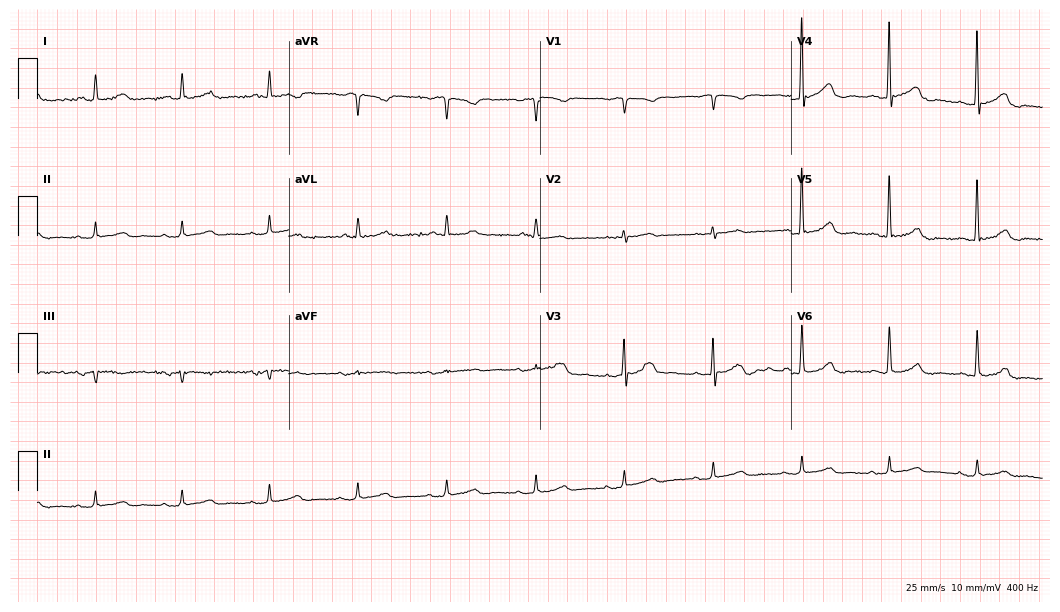
Standard 12-lead ECG recorded from an 84-year-old female patient (10.2-second recording at 400 Hz). Read as a normal ECG.